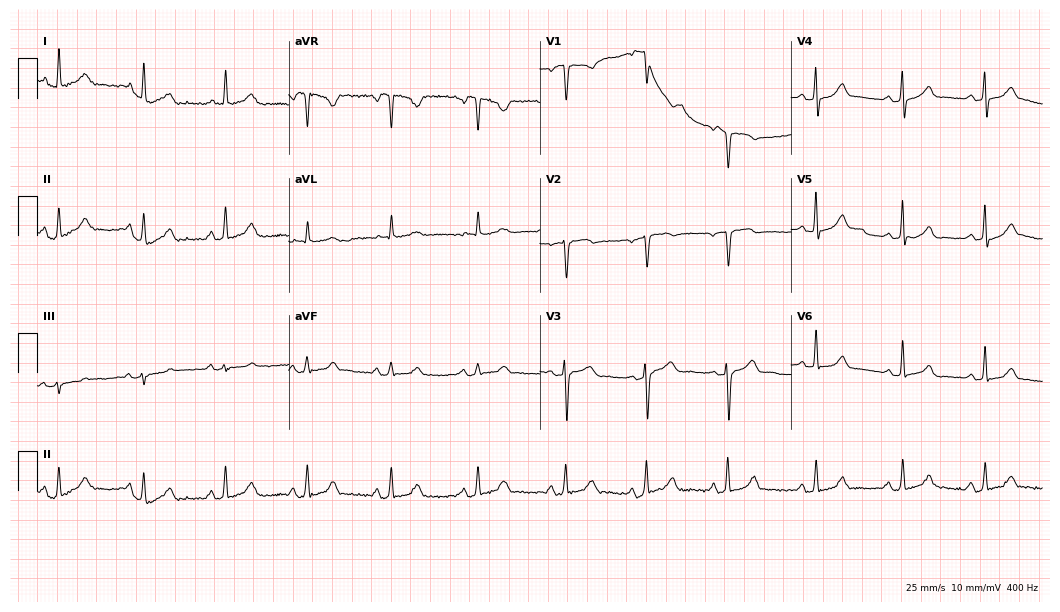
ECG (10.2-second recording at 400 Hz) — a female patient, 51 years old. Labelled as a normal ECG.